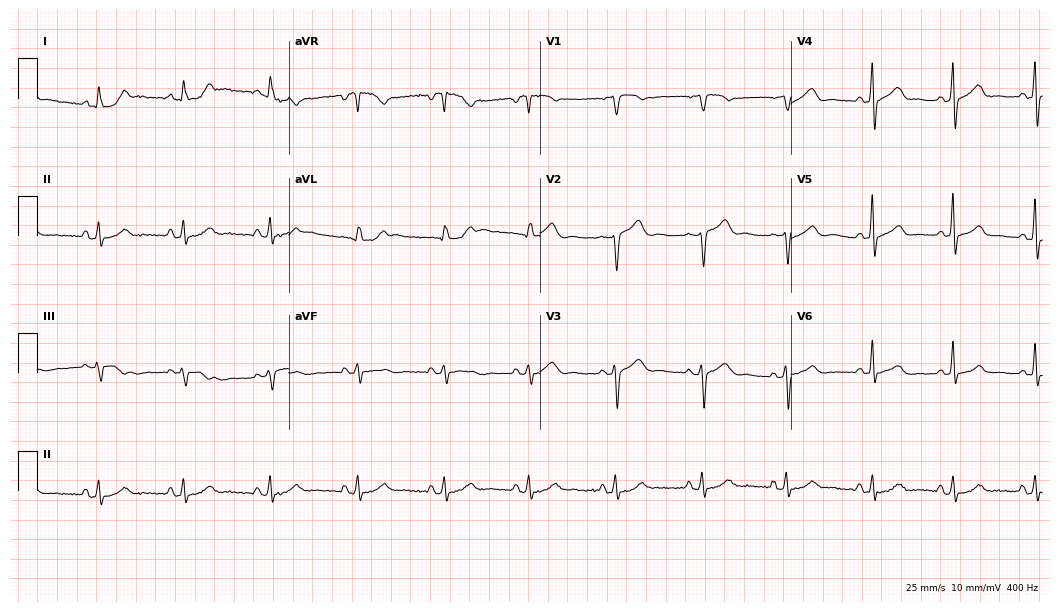
Resting 12-lead electrocardiogram (10.2-second recording at 400 Hz). Patient: a 68-year-old female. Read as a normal ECG.